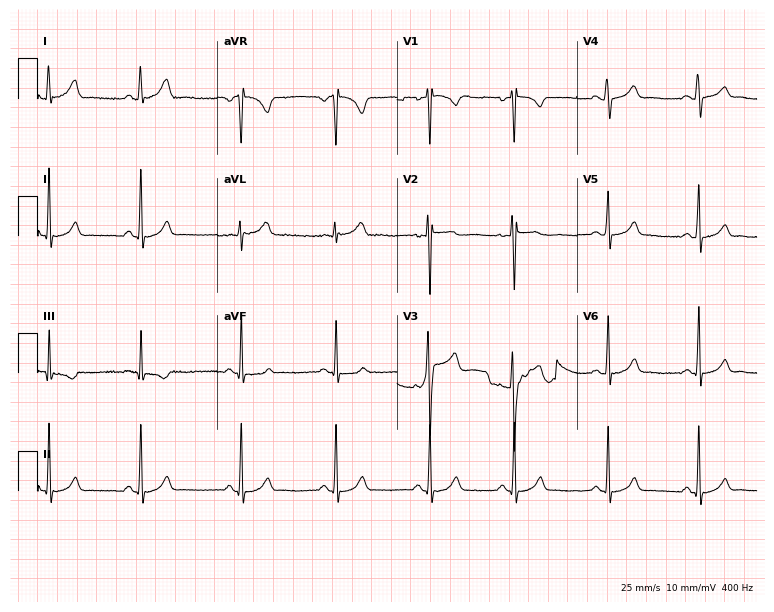
Electrocardiogram (7.3-second recording at 400 Hz), a woman, 24 years old. Overall reading on record: normal ECG.